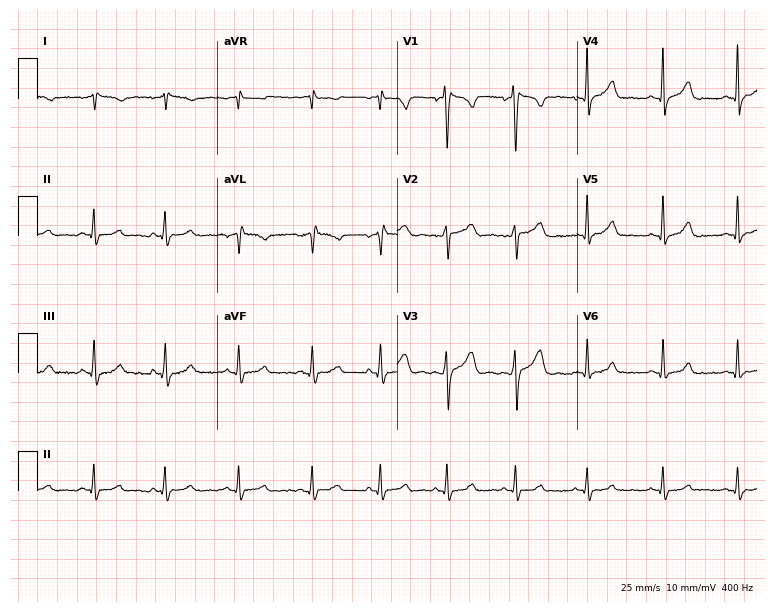
ECG (7.3-second recording at 400 Hz) — a 25-year-old female patient. Screened for six findings — first-degree AV block, right bundle branch block, left bundle branch block, sinus bradycardia, atrial fibrillation, sinus tachycardia — none is recorded. Other findings, if any, are not listed.